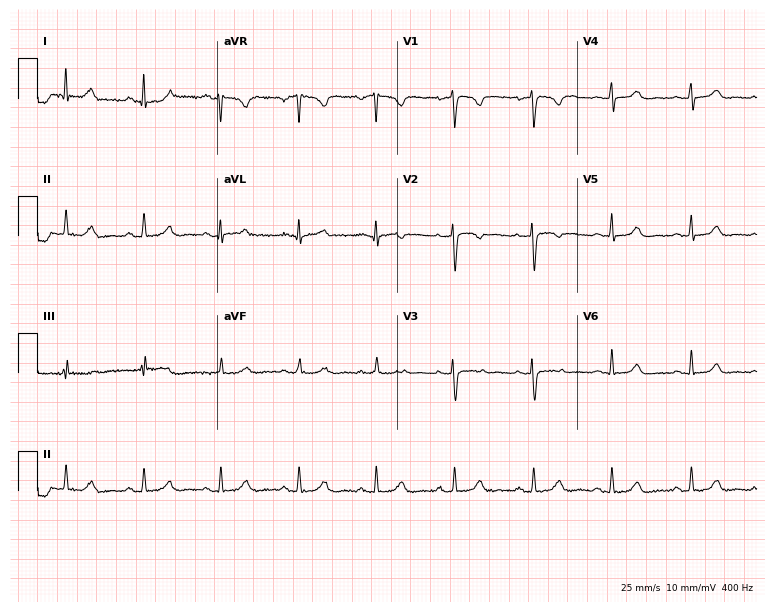
12-lead ECG (7.3-second recording at 400 Hz) from a 40-year-old female patient. Labelled as a normal ECG.